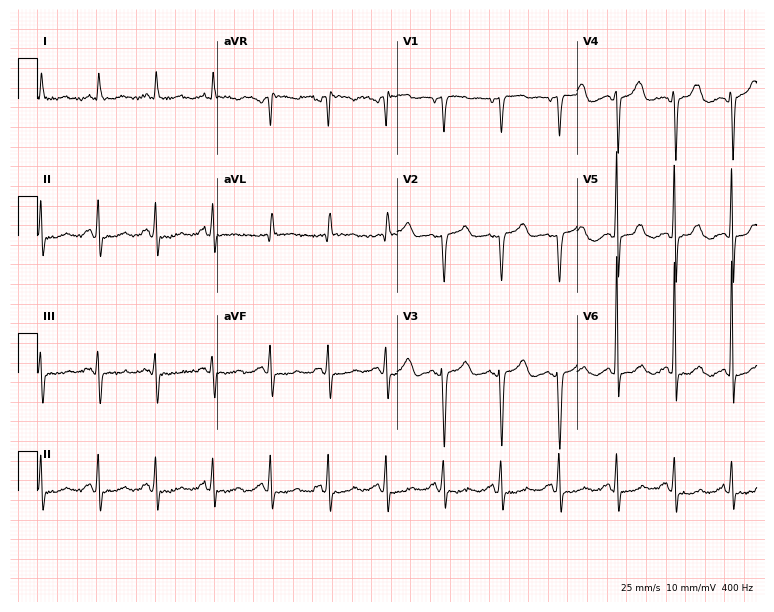
Resting 12-lead electrocardiogram. Patient: a 71-year-old female. The tracing shows sinus tachycardia (a sinus rate of 100 beats per minute or more).